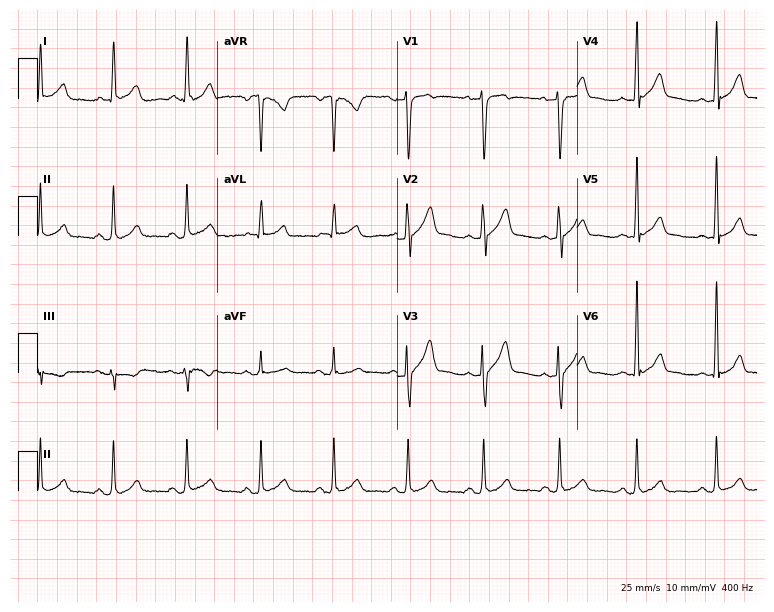
12-lead ECG (7.3-second recording at 400 Hz) from a man, 34 years old. Labelled as a normal ECG.